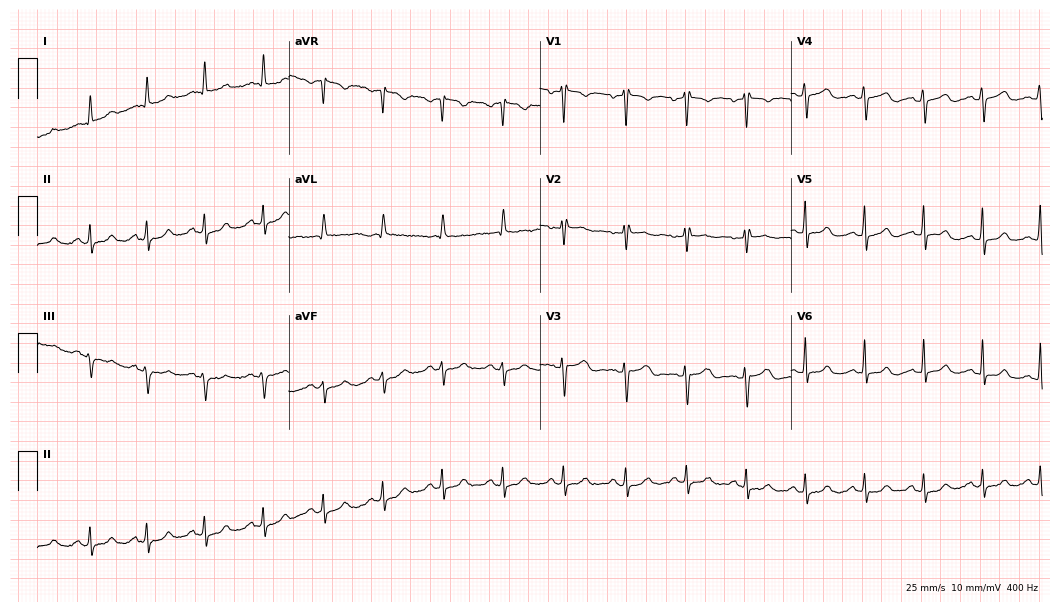
ECG — a 42-year-old female. Labelled as a normal ECG.